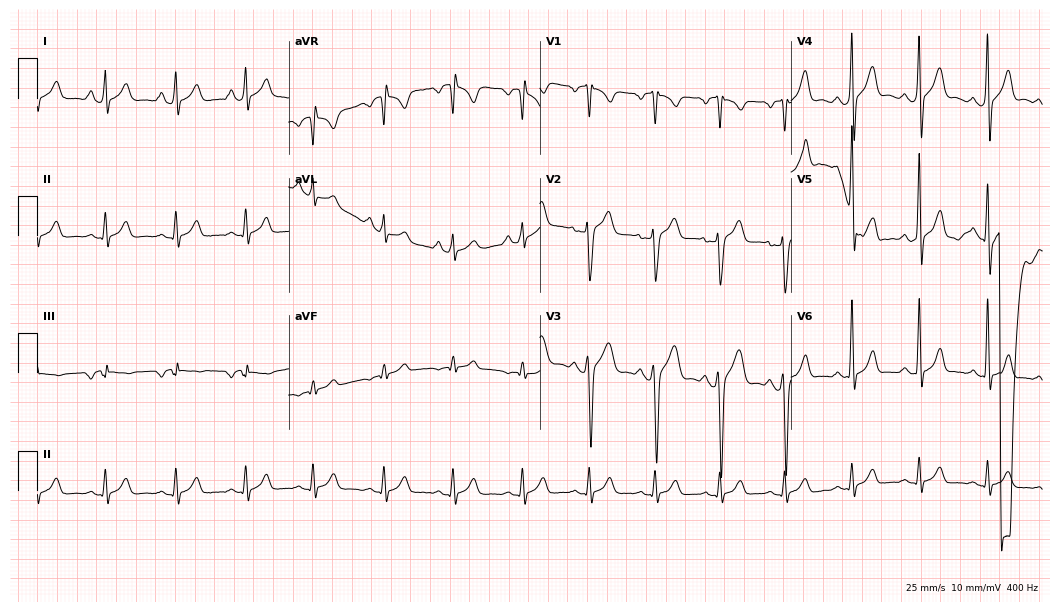
Electrocardiogram, a 24-year-old male patient. Overall reading on record: normal ECG.